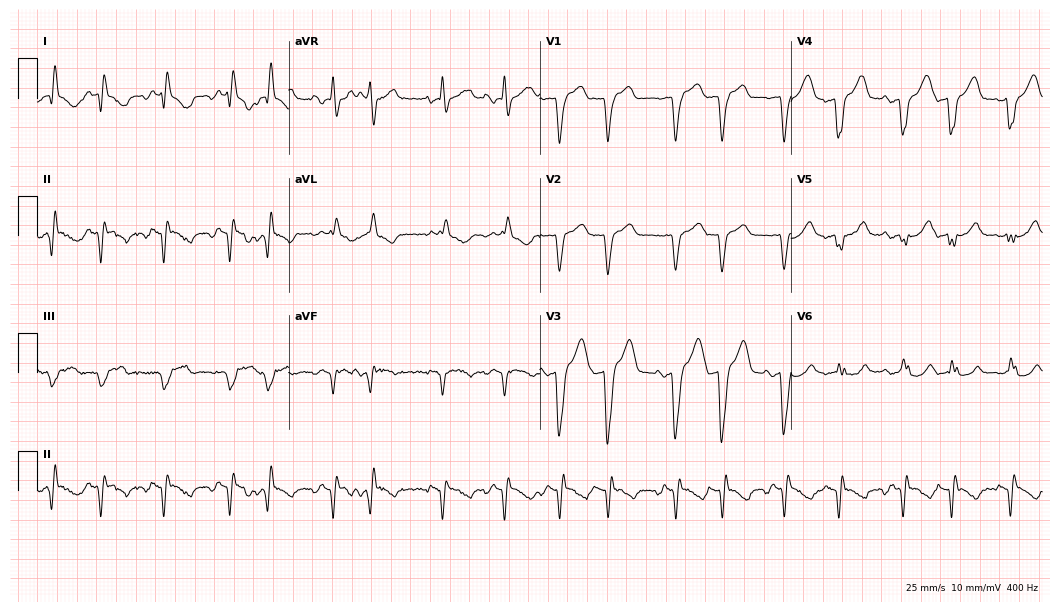
12-lead ECG from a female, 84 years old (10.2-second recording at 400 Hz). No first-degree AV block, right bundle branch block, left bundle branch block, sinus bradycardia, atrial fibrillation or sinus tachycardia recorded for this tracing.